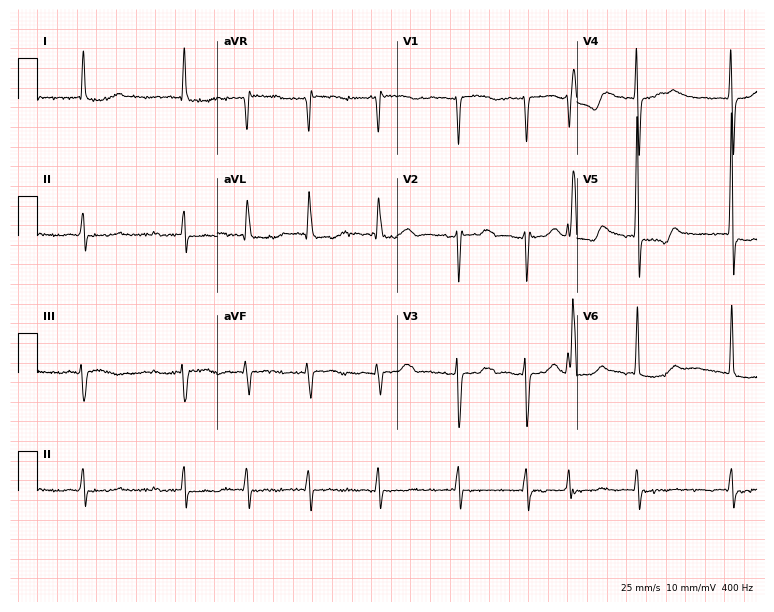
ECG — a woman, 84 years old. Findings include atrial fibrillation (AF).